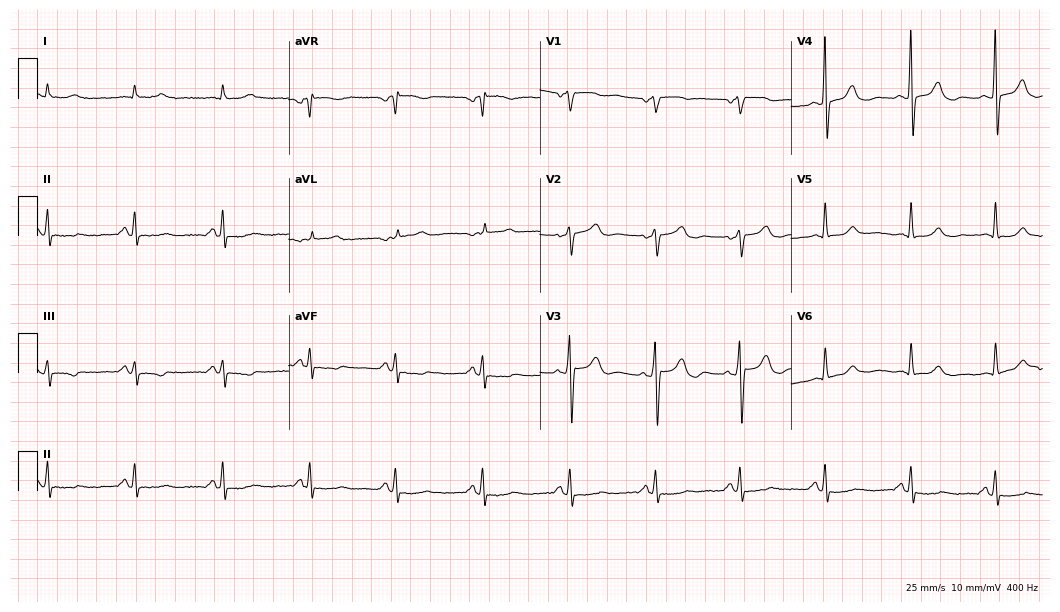
Electrocardiogram (10.2-second recording at 400 Hz), a 69-year-old male. Of the six screened findings (first-degree AV block, right bundle branch block, left bundle branch block, sinus bradycardia, atrial fibrillation, sinus tachycardia), none is recorded.